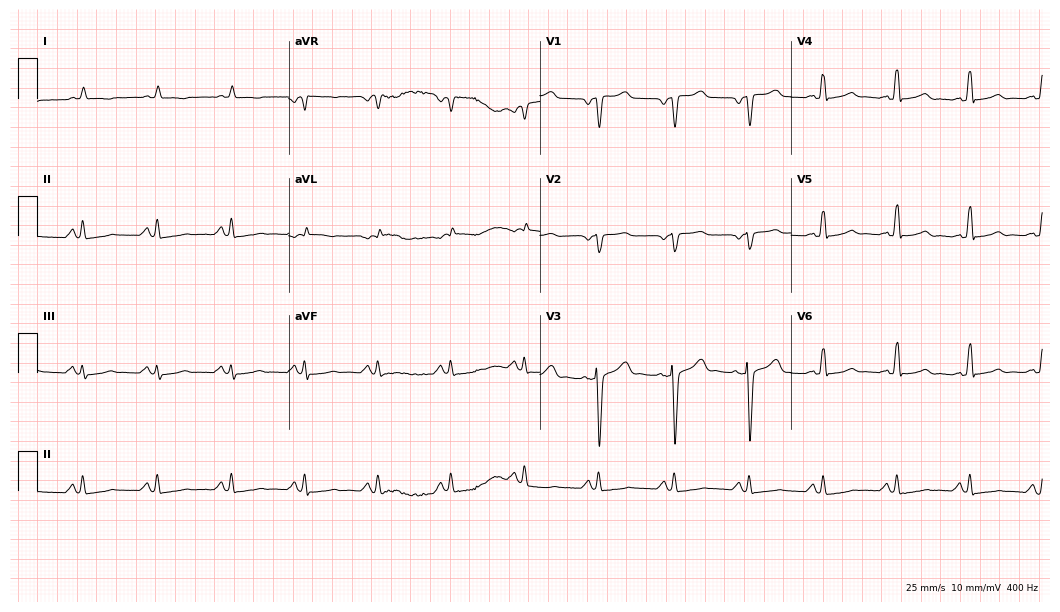
Standard 12-lead ECG recorded from a 57-year-old man (10.2-second recording at 400 Hz). None of these six findings is recorded: first-degree AV block, right bundle branch block, left bundle branch block, sinus bradycardia, atrial fibrillation, sinus tachycardia.